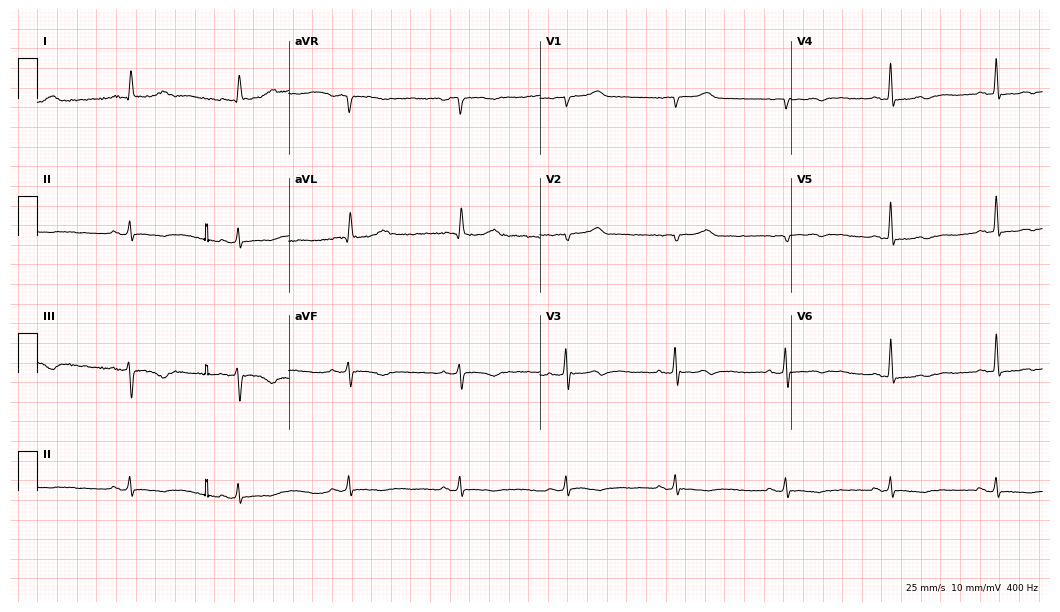
Electrocardiogram, a female, 24 years old. Of the six screened findings (first-degree AV block, right bundle branch block (RBBB), left bundle branch block (LBBB), sinus bradycardia, atrial fibrillation (AF), sinus tachycardia), none is recorded. Only these six findings were labelled.